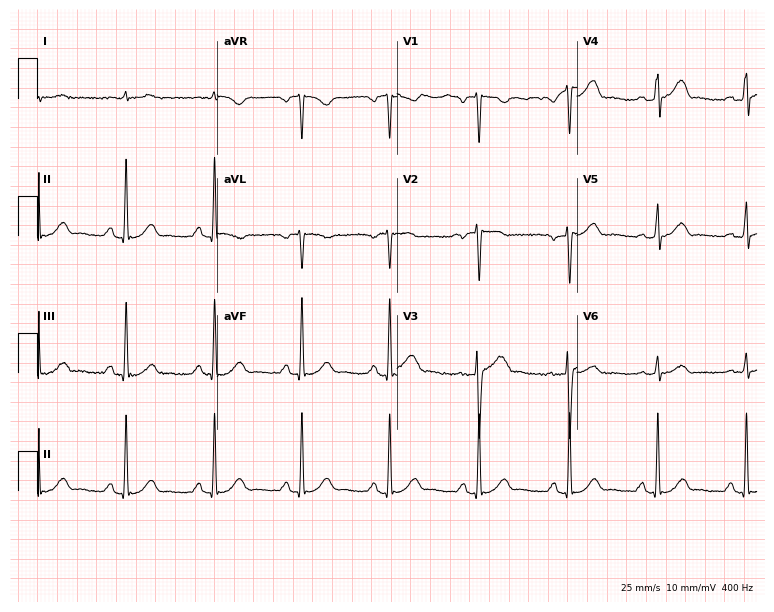
12-lead ECG from a male patient, 48 years old (7.3-second recording at 400 Hz). Recorded interpretation: within normal limits.